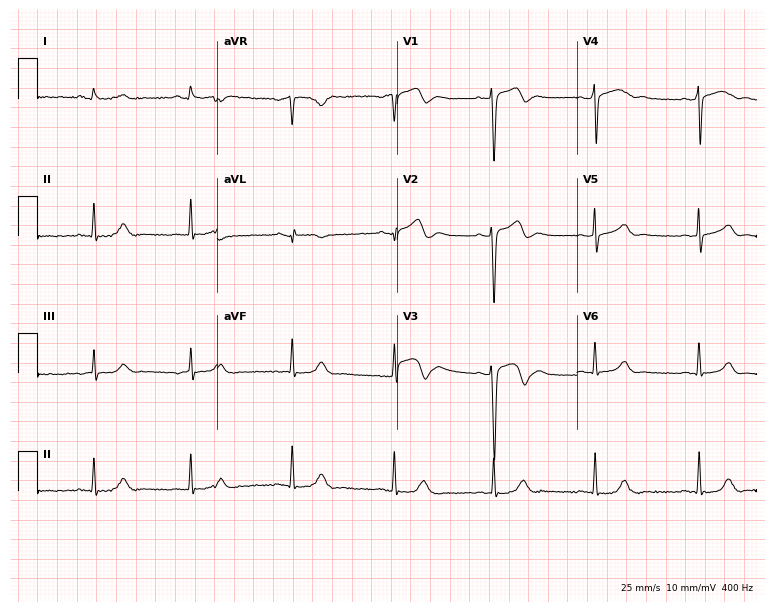
Electrocardiogram, a male patient, 24 years old. Of the six screened findings (first-degree AV block, right bundle branch block, left bundle branch block, sinus bradycardia, atrial fibrillation, sinus tachycardia), none is recorded.